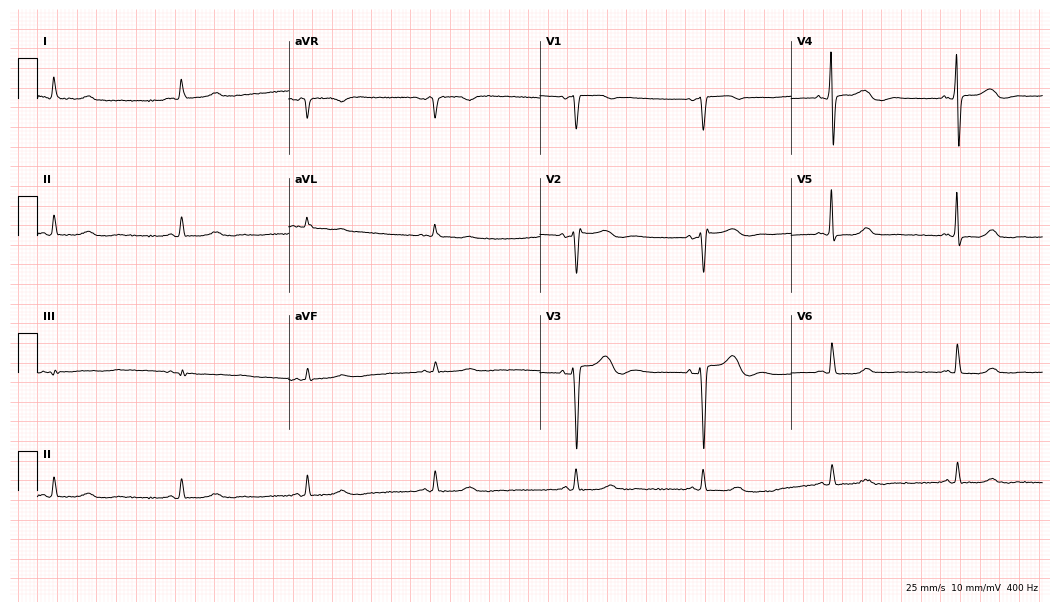
12-lead ECG from a 55-year-old woman (10.2-second recording at 400 Hz). Shows sinus bradycardia (a sinus rate of 50 beats per minute or less).